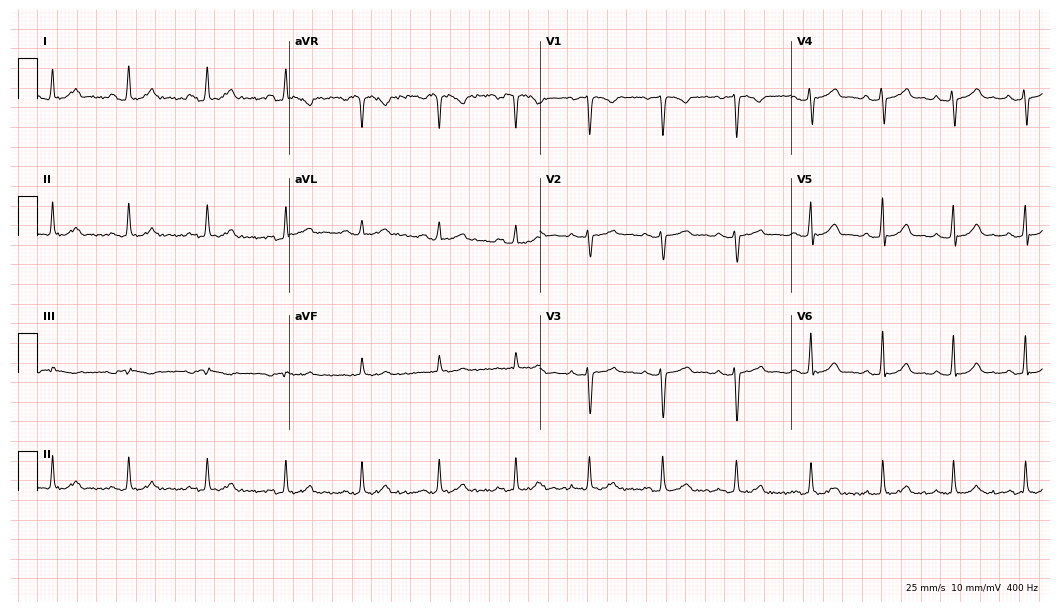
Electrocardiogram, a woman, 26 years old. Overall reading on record: normal ECG.